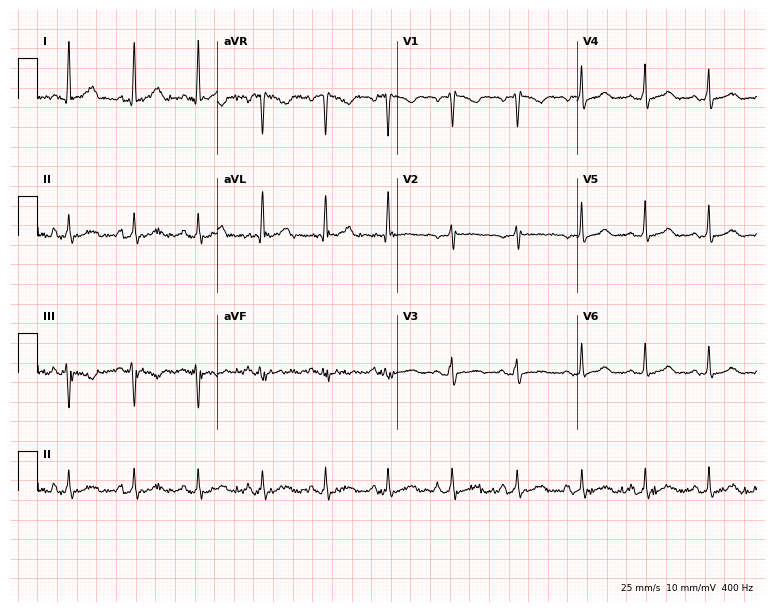
Resting 12-lead electrocardiogram. Patient: a 32-year-old female. Read as a normal ECG.